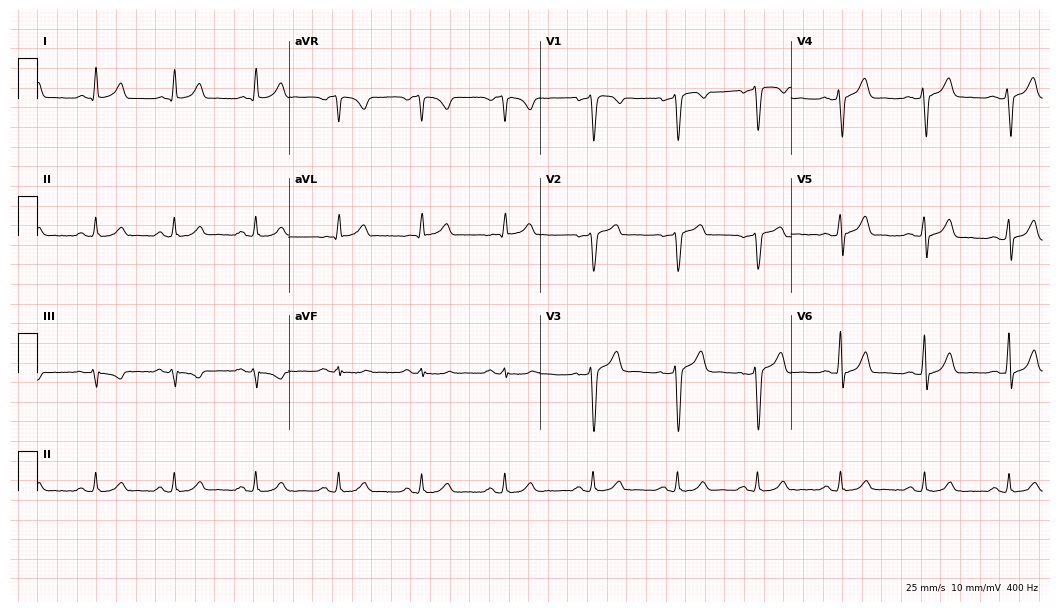
Standard 12-lead ECG recorded from a man, 34 years old. Read as a normal ECG.